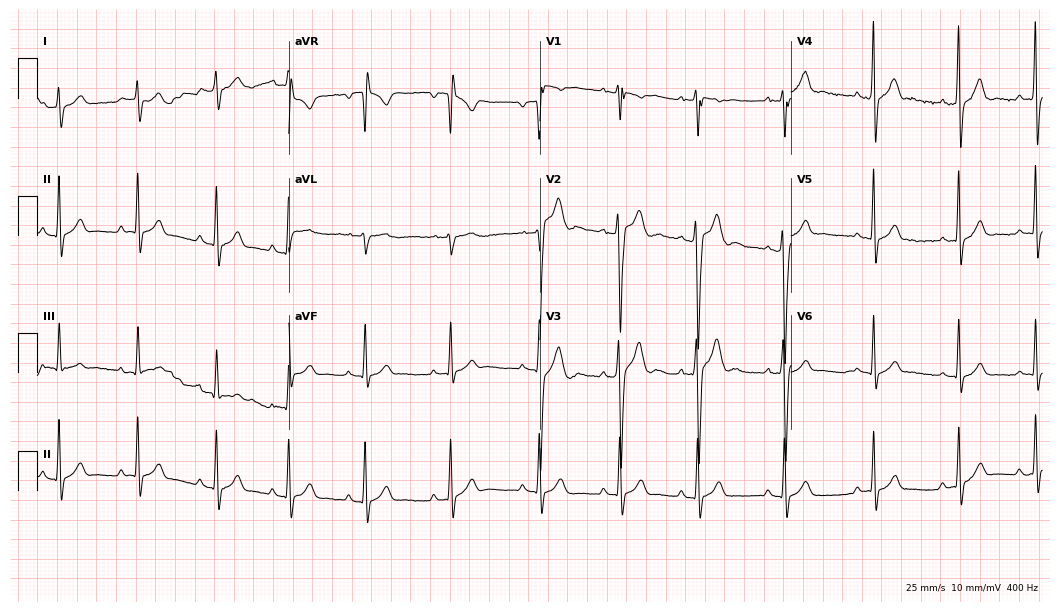
12-lead ECG from a man, 21 years old. No first-degree AV block, right bundle branch block (RBBB), left bundle branch block (LBBB), sinus bradycardia, atrial fibrillation (AF) or sinus tachycardia recorded for this tracing. Findings outside these six are not listed.